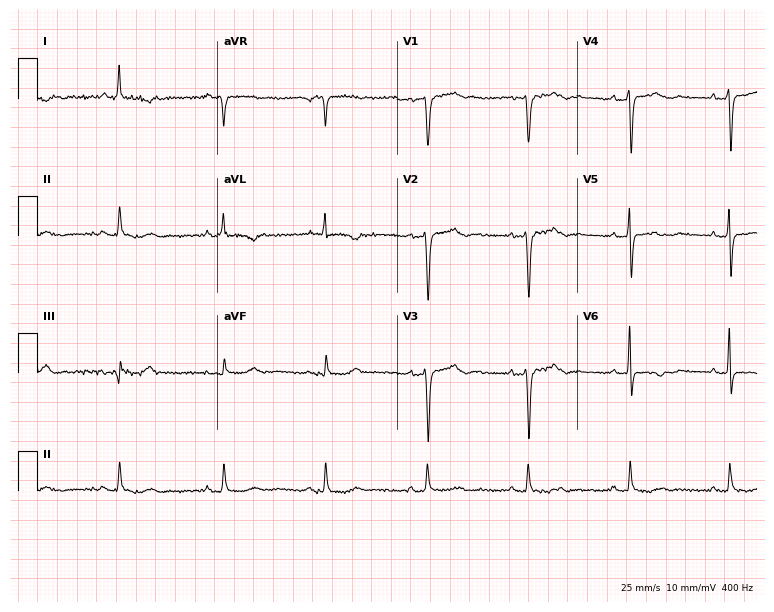
12-lead ECG from a 70-year-old female patient (7.3-second recording at 400 Hz). No first-degree AV block, right bundle branch block (RBBB), left bundle branch block (LBBB), sinus bradycardia, atrial fibrillation (AF) or sinus tachycardia recorded for this tracing. Only these six findings were labelled.